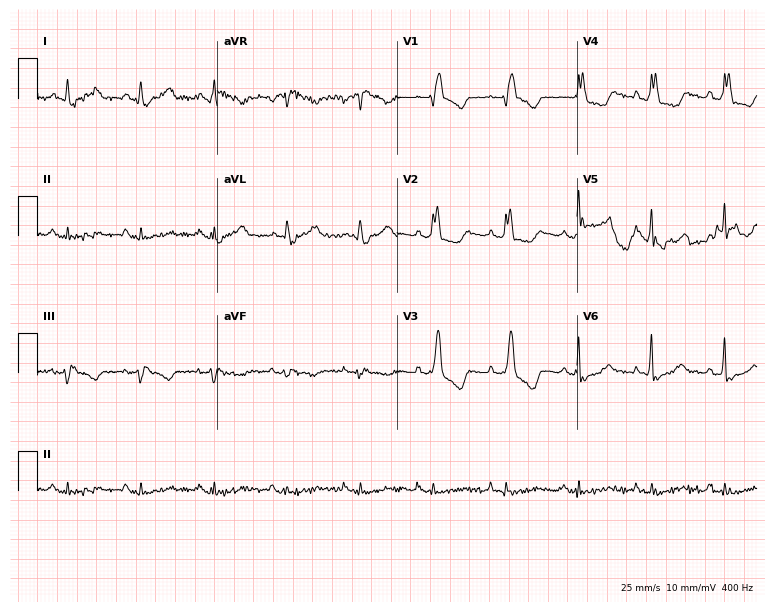
Standard 12-lead ECG recorded from a 68-year-old male patient (7.3-second recording at 400 Hz). The tracing shows right bundle branch block (RBBB).